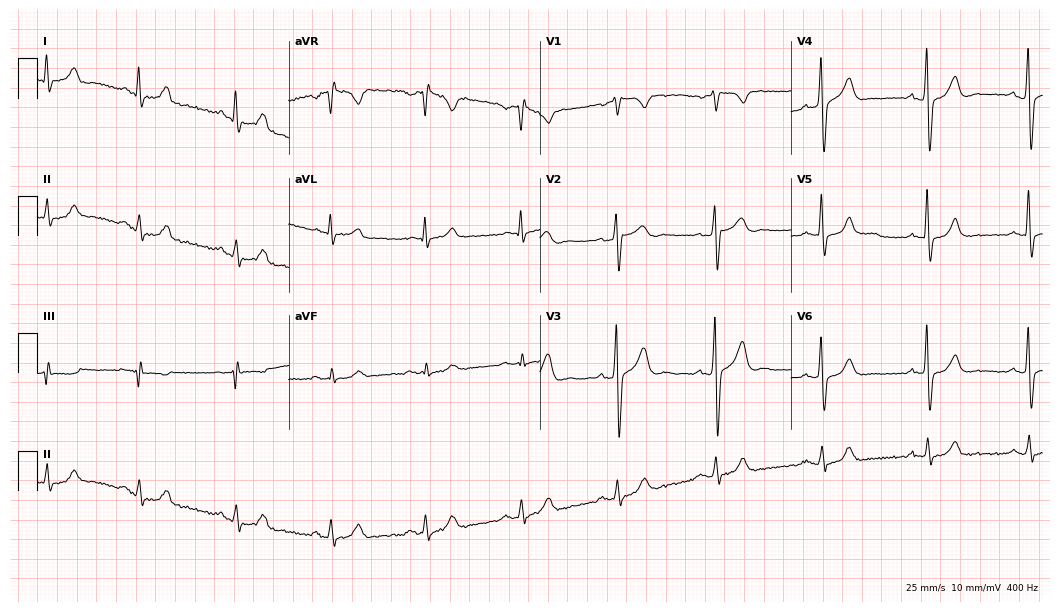
ECG (10.2-second recording at 400 Hz) — a male patient, 45 years old. Screened for six findings — first-degree AV block, right bundle branch block, left bundle branch block, sinus bradycardia, atrial fibrillation, sinus tachycardia — none is recorded. Other findings, if any, are not listed.